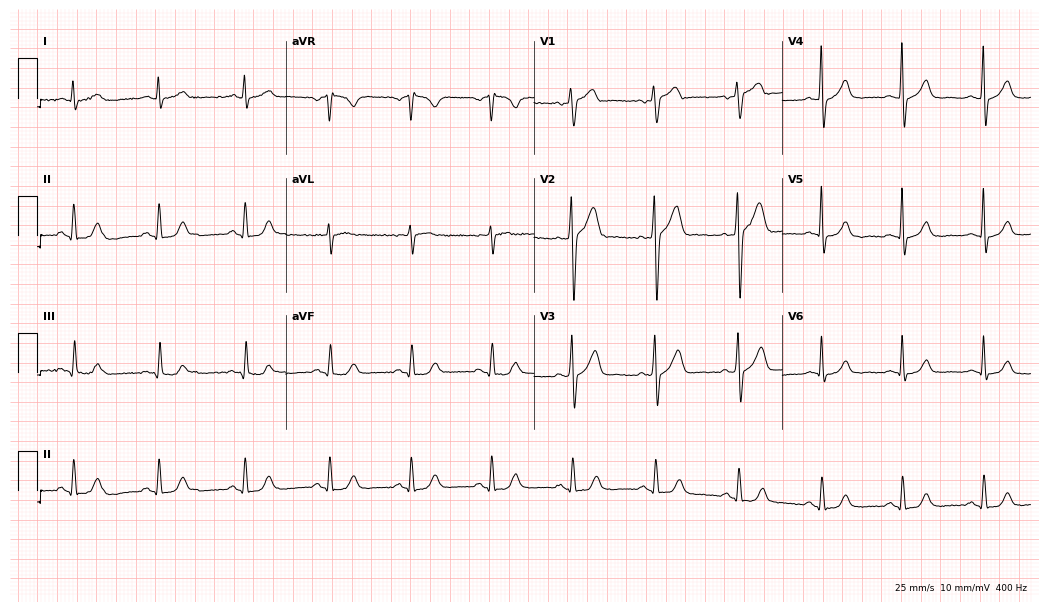
Resting 12-lead electrocardiogram. Patient: a male, 54 years old. Read as a normal ECG.